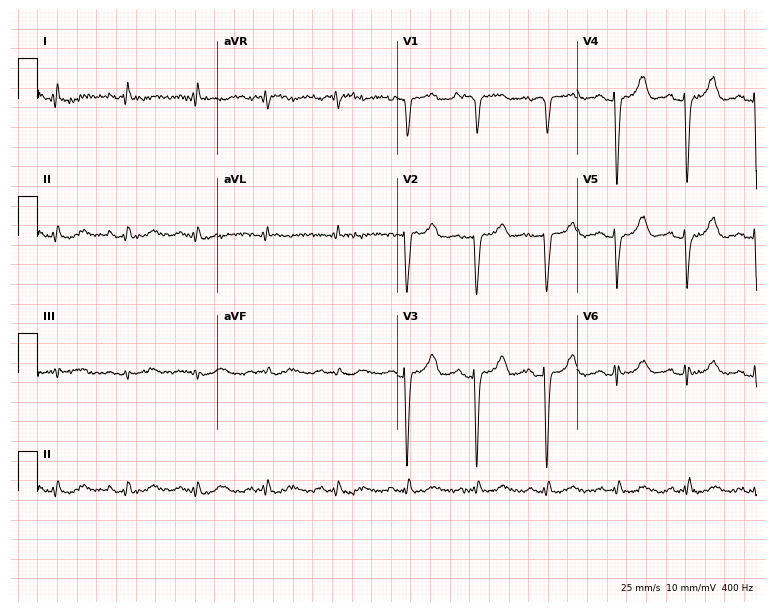
Resting 12-lead electrocardiogram (7.3-second recording at 400 Hz). Patient: a female, 57 years old. None of these six findings is recorded: first-degree AV block, right bundle branch block (RBBB), left bundle branch block (LBBB), sinus bradycardia, atrial fibrillation (AF), sinus tachycardia. Other findings, if any, are not listed.